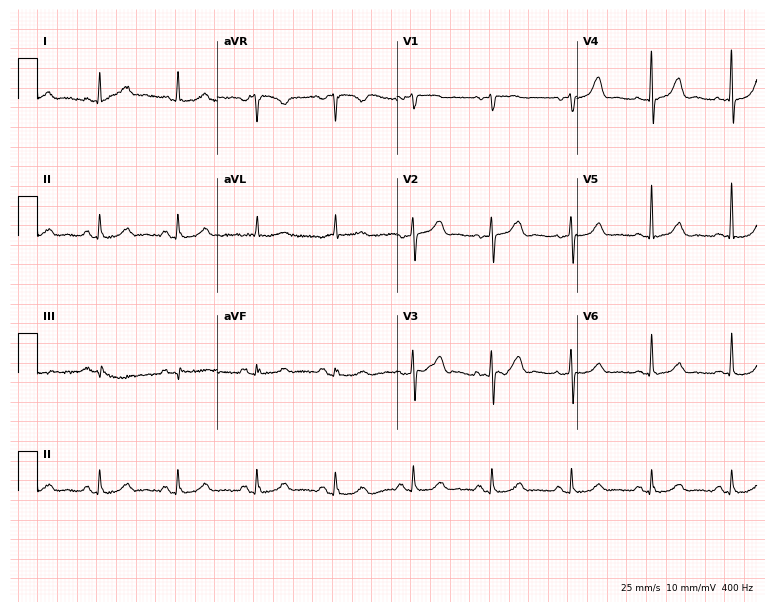
12-lead ECG (7.3-second recording at 400 Hz) from a female patient, 80 years old. Screened for six findings — first-degree AV block, right bundle branch block (RBBB), left bundle branch block (LBBB), sinus bradycardia, atrial fibrillation (AF), sinus tachycardia — none is recorded. Findings outside these six are not listed.